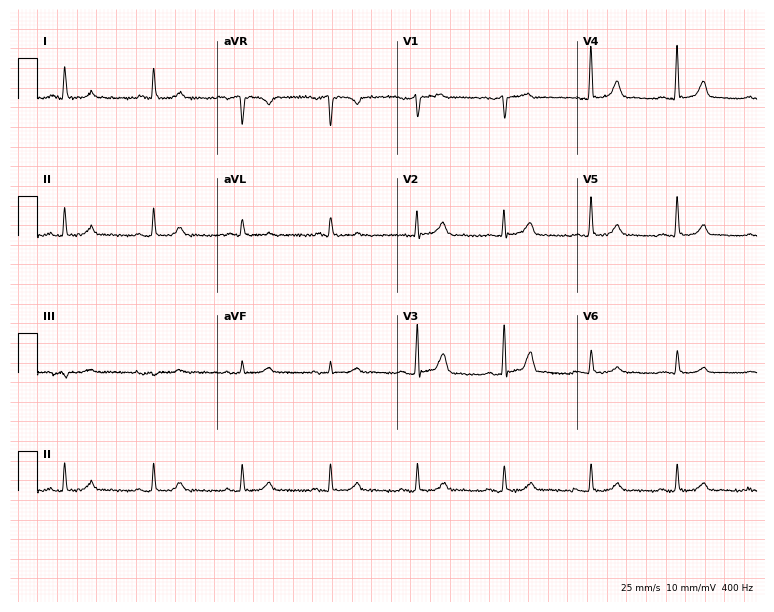
12-lead ECG from a 75-year-old man. Recorded interpretation: within normal limits.